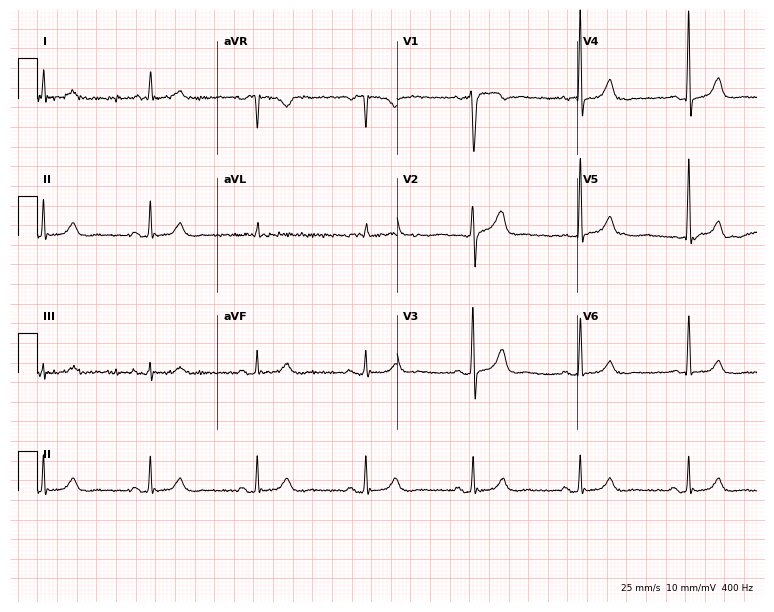
Resting 12-lead electrocardiogram (7.3-second recording at 400 Hz). Patient: a 79-year-old man. Read as a normal ECG.